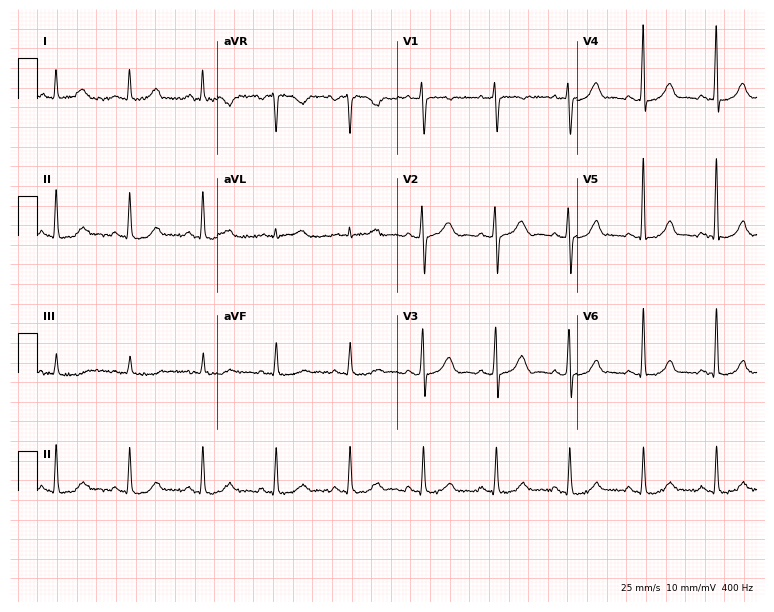
Electrocardiogram (7.3-second recording at 400 Hz), a female, 60 years old. Overall reading on record: normal ECG.